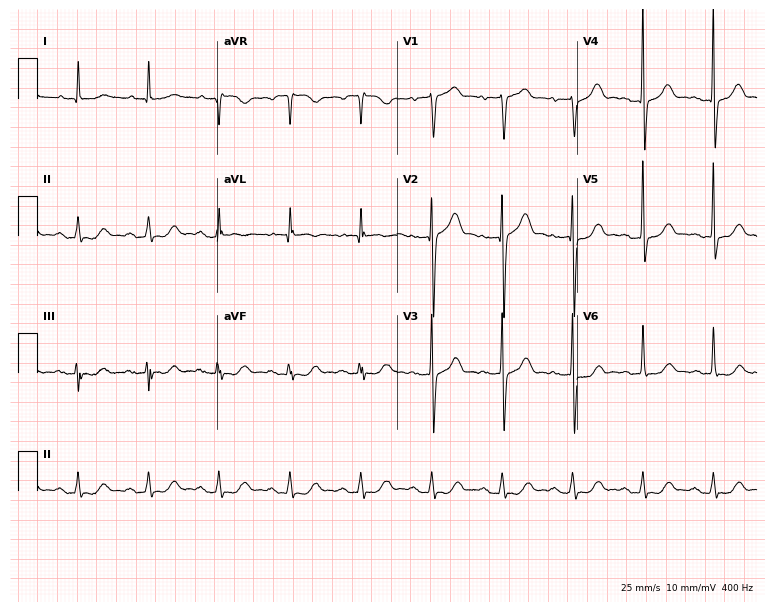
Resting 12-lead electrocardiogram. Patient: a male, 73 years old. Read as a normal ECG.